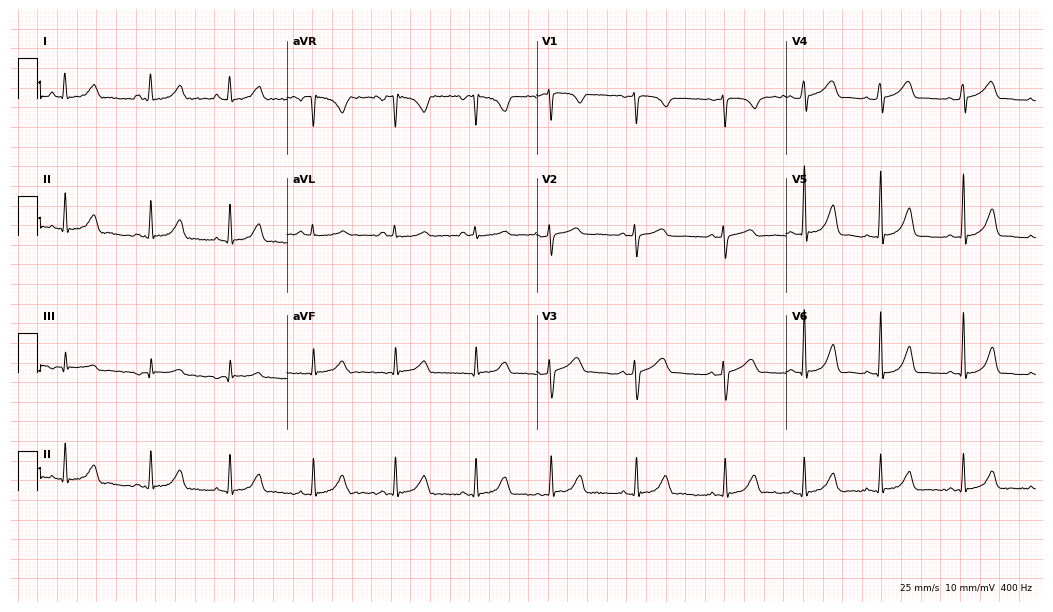
Resting 12-lead electrocardiogram. Patient: a 30-year-old female. Read as a normal ECG.